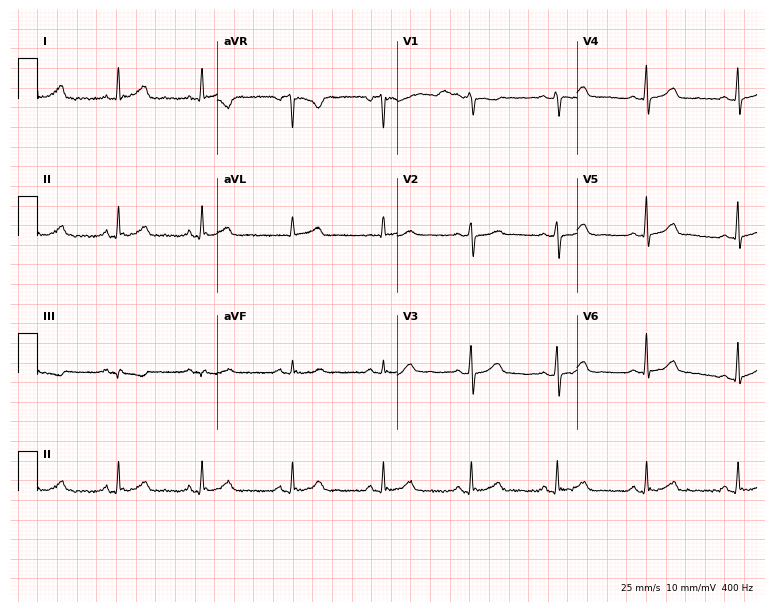
12-lead ECG (7.3-second recording at 400 Hz) from a 48-year-old woman. Labelled as a normal ECG.